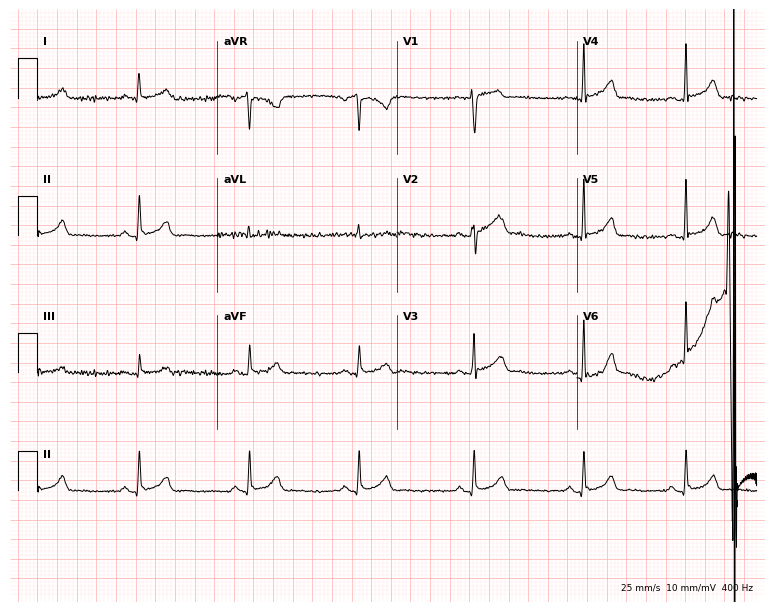
Electrocardiogram, a man, 35 years old. Overall reading on record: normal ECG.